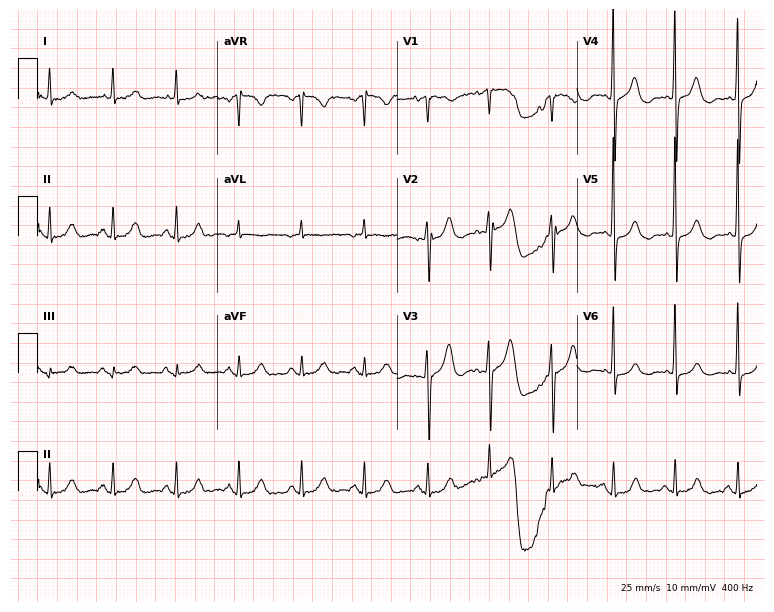
ECG (7.3-second recording at 400 Hz) — a 78-year-old female. Screened for six findings — first-degree AV block, right bundle branch block (RBBB), left bundle branch block (LBBB), sinus bradycardia, atrial fibrillation (AF), sinus tachycardia — none is recorded.